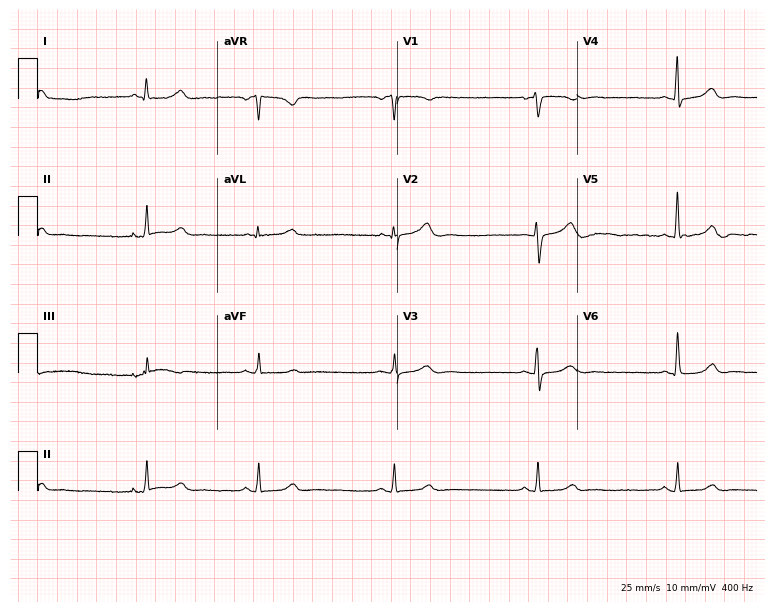
ECG (7.3-second recording at 400 Hz) — a 51-year-old woman. Findings include sinus bradycardia (a sinus rate of 50 beats per minute or less).